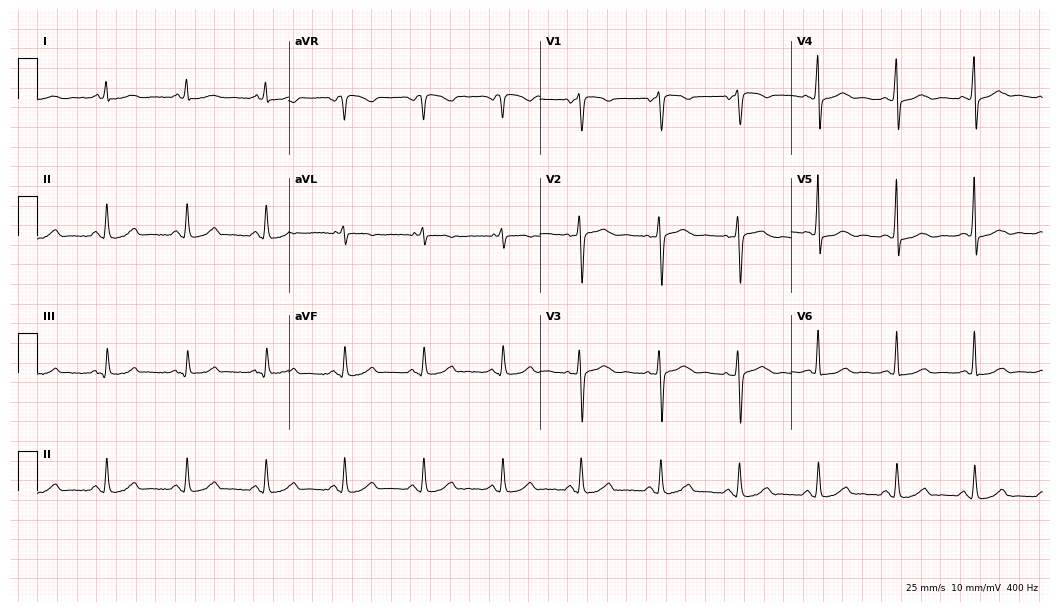
12-lead ECG from a woman, 70 years old. Labelled as a normal ECG.